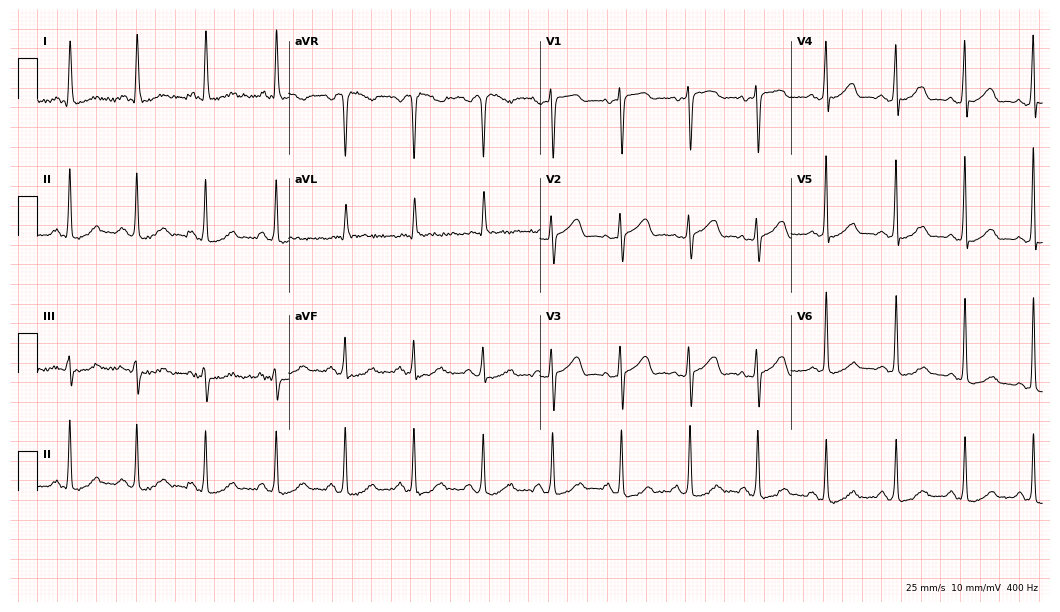
Electrocardiogram, a female patient, 69 years old. Overall reading on record: normal ECG.